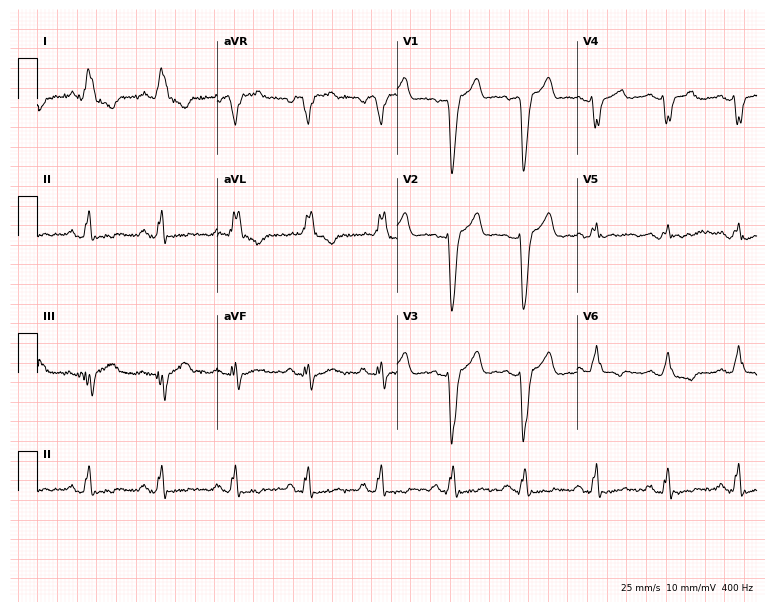
Resting 12-lead electrocardiogram. Patient: a female, 81 years old. None of these six findings is recorded: first-degree AV block, right bundle branch block, left bundle branch block, sinus bradycardia, atrial fibrillation, sinus tachycardia. Other findings, if any, are not listed.